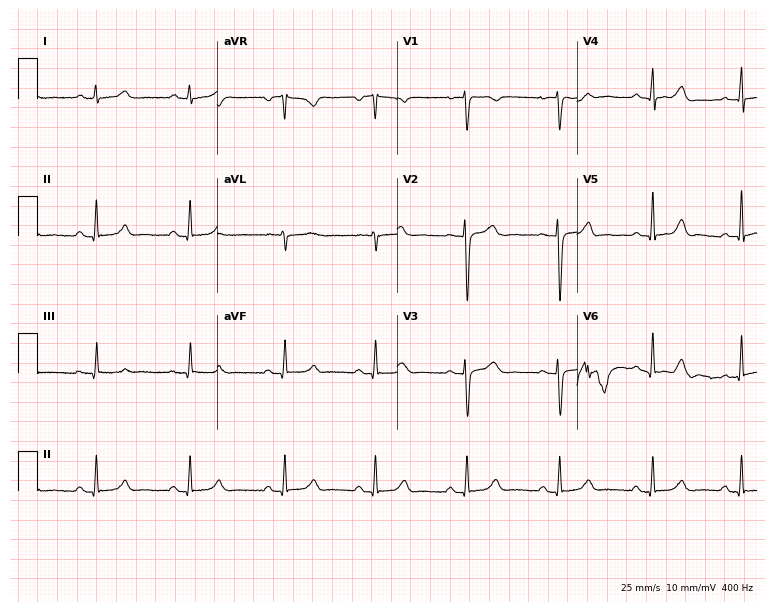
12-lead ECG from a female, 39 years old. No first-degree AV block, right bundle branch block (RBBB), left bundle branch block (LBBB), sinus bradycardia, atrial fibrillation (AF) or sinus tachycardia recorded for this tracing.